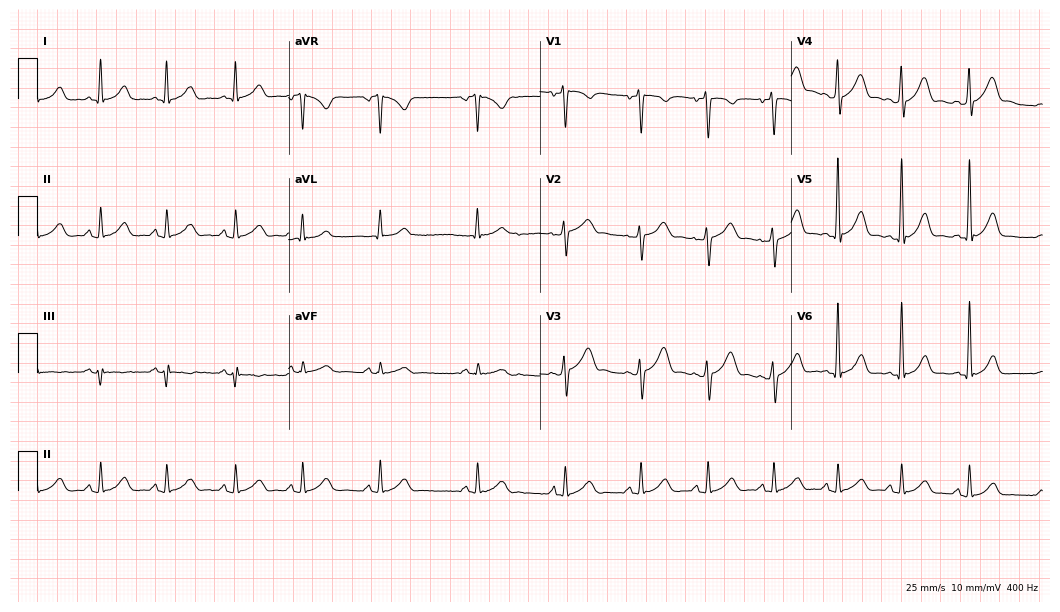
Resting 12-lead electrocardiogram (10.2-second recording at 400 Hz). Patient: a 37-year-old man. None of these six findings is recorded: first-degree AV block, right bundle branch block, left bundle branch block, sinus bradycardia, atrial fibrillation, sinus tachycardia. Findings outside these six are not listed.